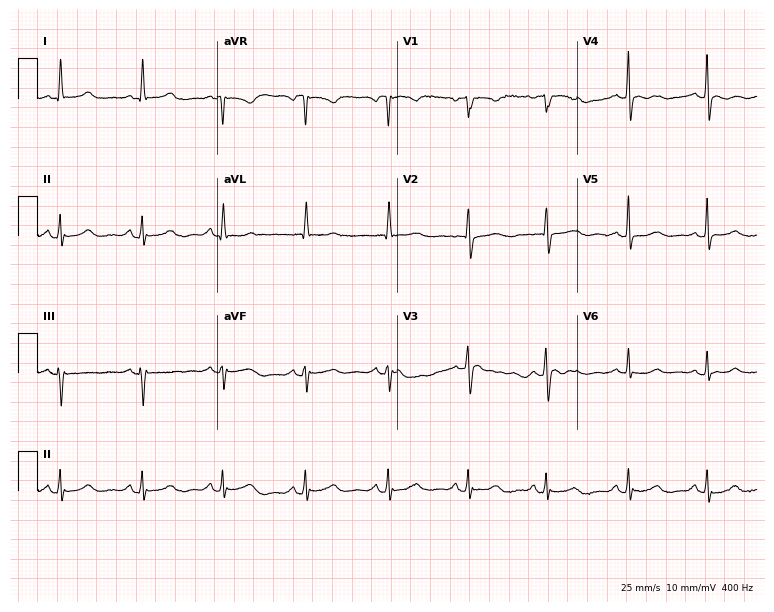
Resting 12-lead electrocardiogram. Patient: a female, 62 years old. None of these six findings is recorded: first-degree AV block, right bundle branch block, left bundle branch block, sinus bradycardia, atrial fibrillation, sinus tachycardia.